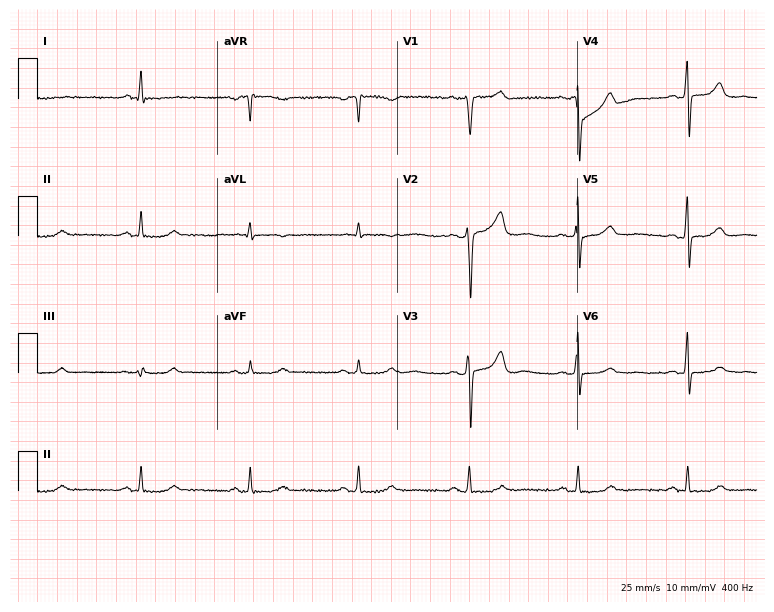
ECG (7.3-second recording at 400 Hz) — a male, 47 years old. Labelled as a normal ECG.